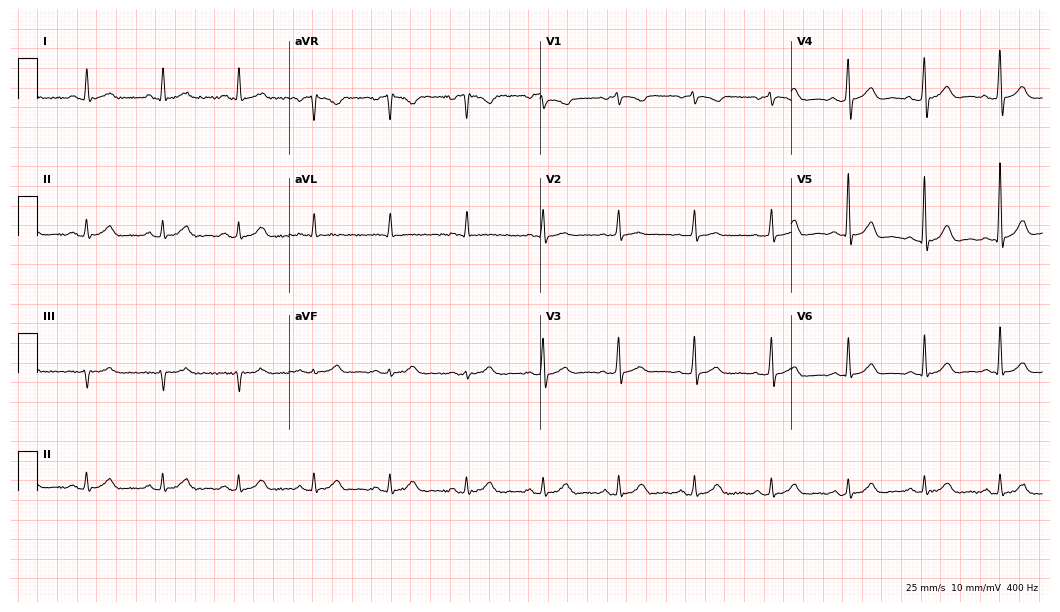
Standard 12-lead ECG recorded from an 82-year-old female patient (10.2-second recording at 400 Hz). Read as a normal ECG.